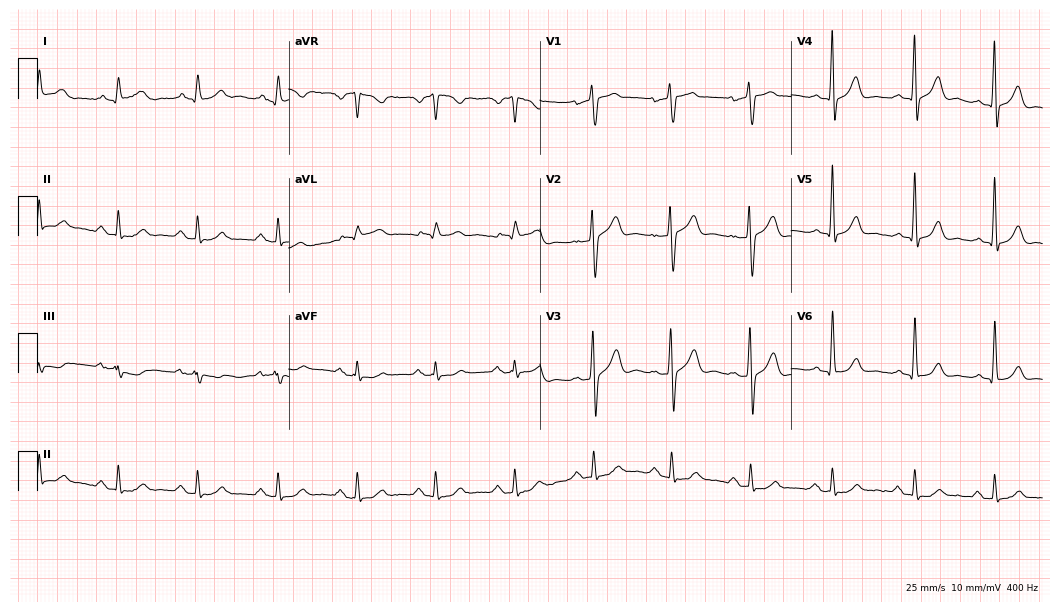
12-lead ECG from a man, 57 years old (10.2-second recording at 400 Hz). Recorded interpretation: within normal limits.